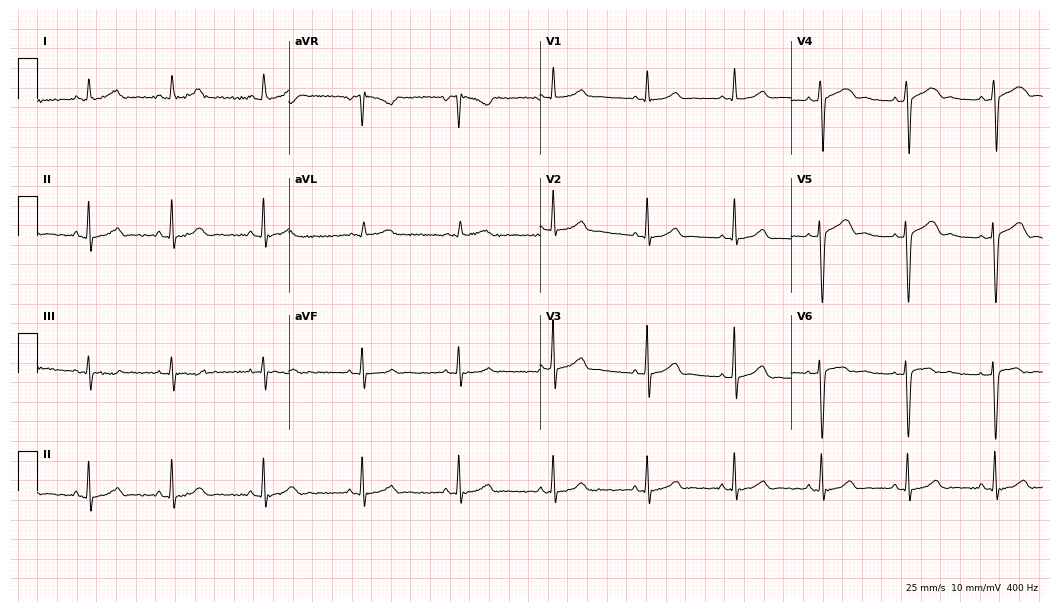
Electrocardiogram (10.2-second recording at 400 Hz), a female, 29 years old. Of the six screened findings (first-degree AV block, right bundle branch block (RBBB), left bundle branch block (LBBB), sinus bradycardia, atrial fibrillation (AF), sinus tachycardia), none is recorded. Other findings, if any, are not listed.